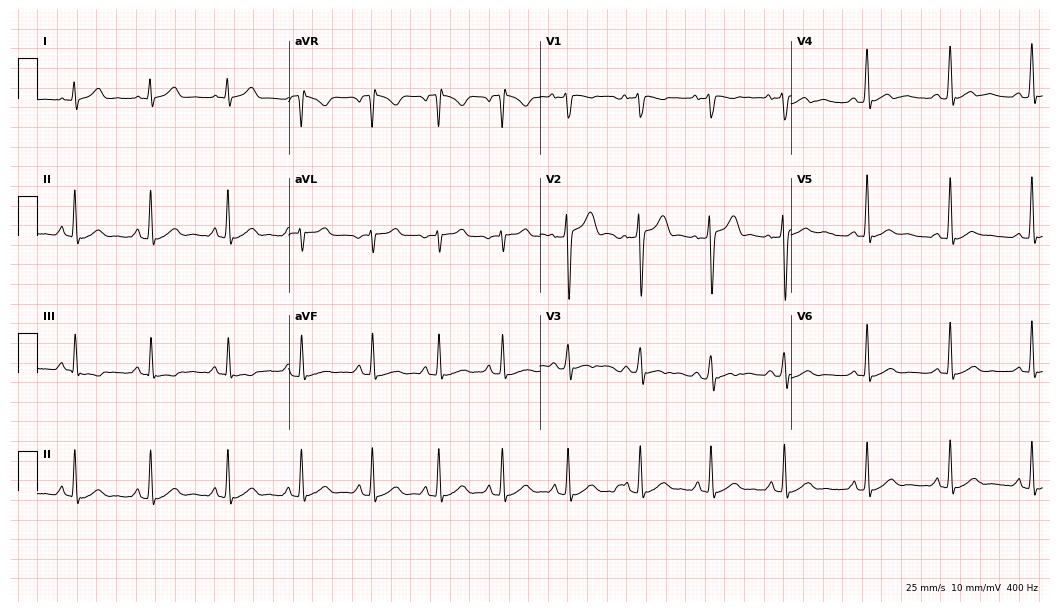
Electrocardiogram (10.2-second recording at 400 Hz), a male patient, 26 years old. Overall reading on record: normal ECG.